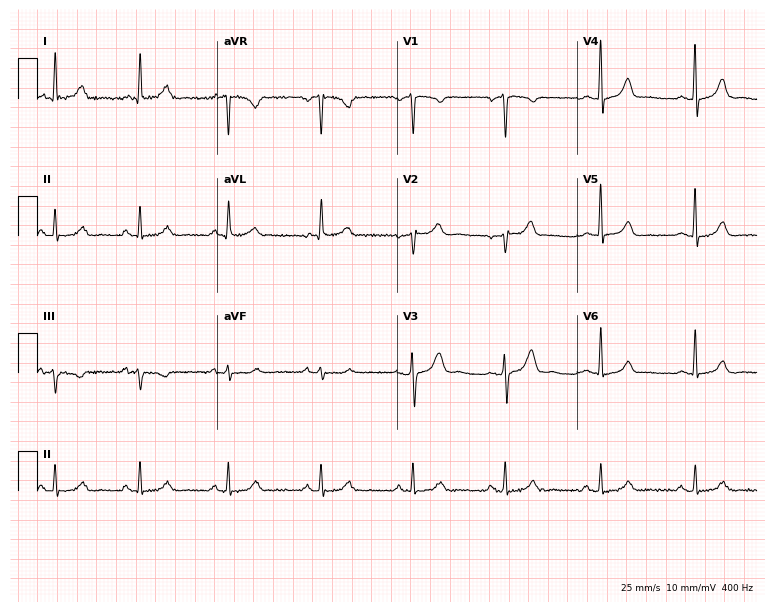
12-lead ECG from a 46-year-old woman. No first-degree AV block, right bundle branch block, left bundle branch block, sinus bradycardia, atrial fibrillation or sinus tachycardia recorded for this tracing.